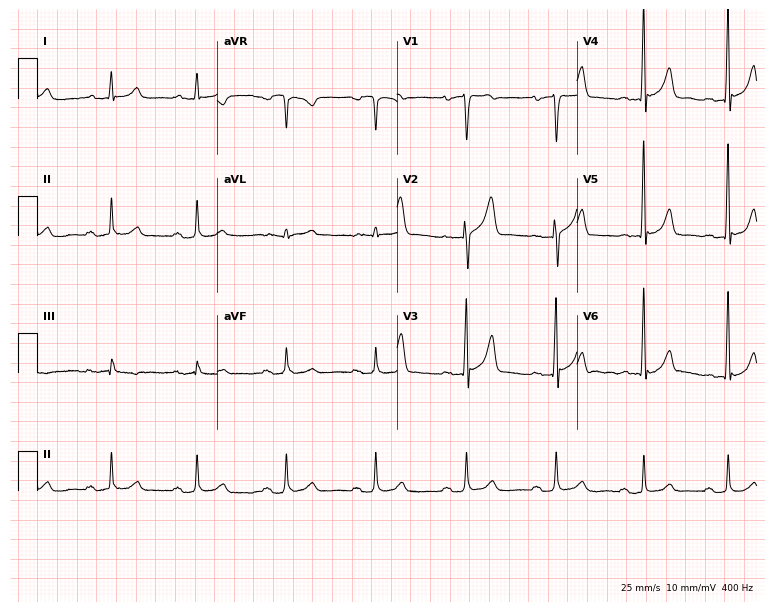
Resting 12-lead electrocardiogram. Patient: a man, 46 years old. None of these six findings is recorded: first-degree AV block, right bundle branch block, left bundle branch block, sinus bradycardia, atrial fibrillation, sinus tachycardia. Only these six findings were labelled.